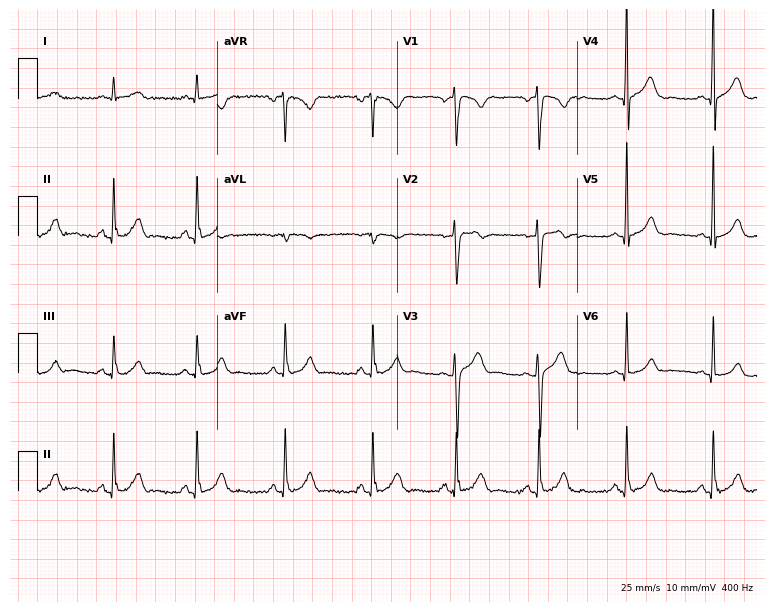
Standard 12-lead ECG recorded from a man, 25 years old (7.3-second recording at 400 Hz). Read as a normal ECG.